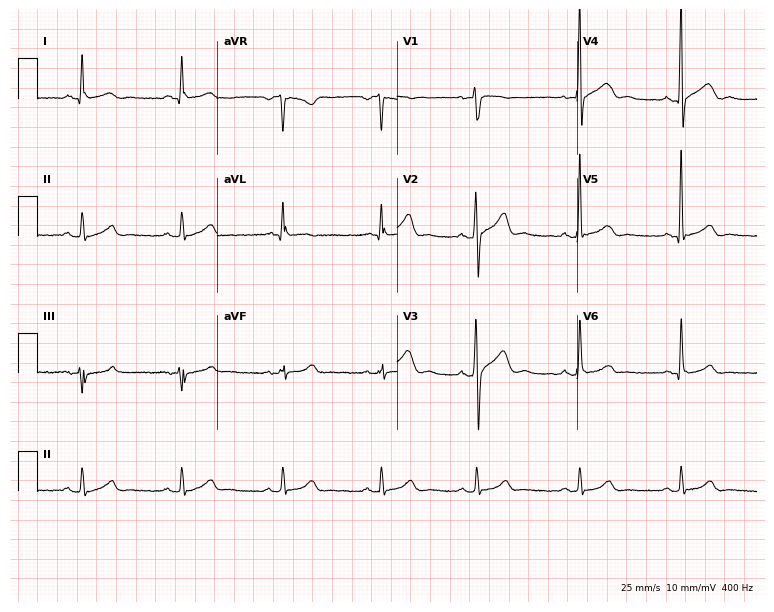
Electrocardiogram, a 34-year-old man. Overall reading on record: normal ECG.